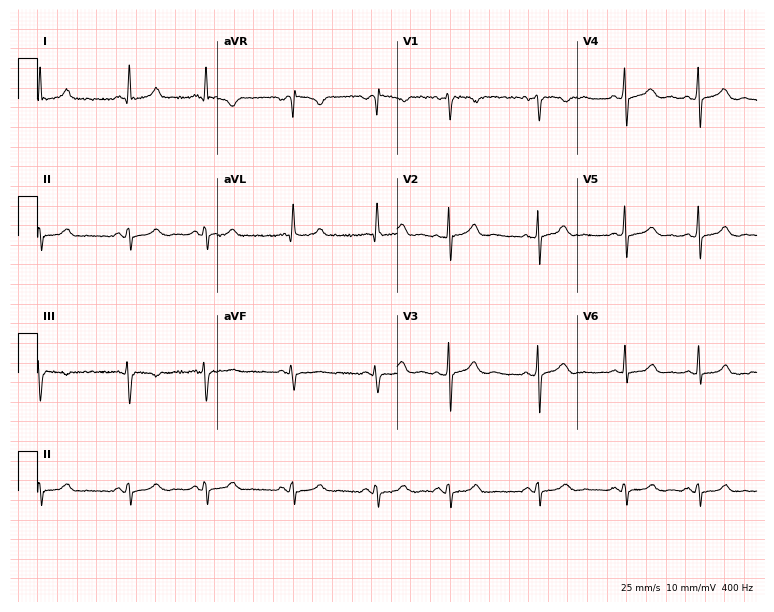
12-lead ECG from a 36-year-old female patient. No first-degree AV block, right bundle branch block (RBBB), left bundle branch block (LBBB), sinus bradycardia, atrial fibrillation (AF) or sinus tachycardia recorded for this tracing. Other findings, if any, are not listed.